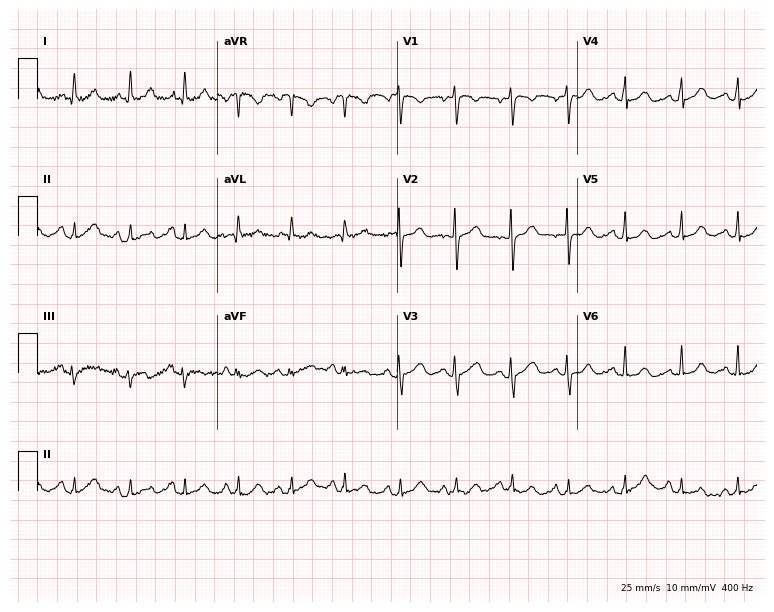
12-lead ECG (7.3-second recording at 400 Hz) from a 32-year-old female. Findings include sinus tachycardia (a sinus rate of 100 beats per minute or more).